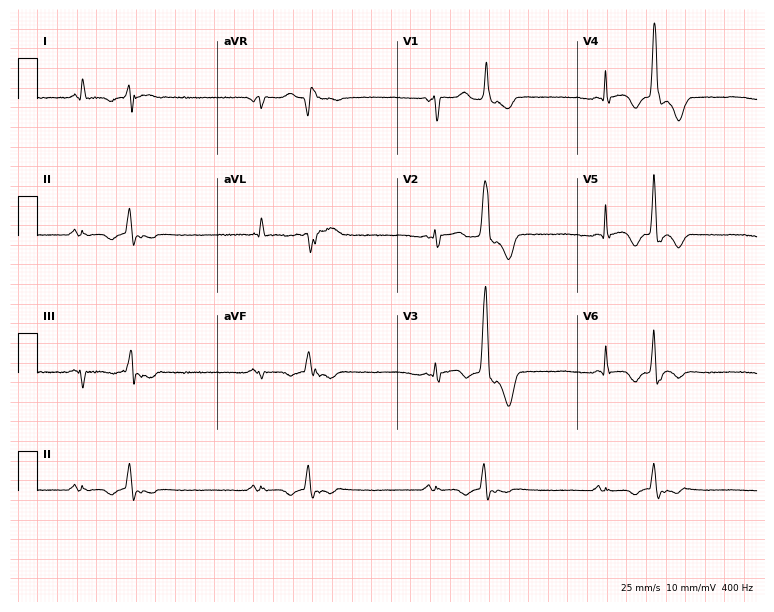
12-lead ECG from a 63-year-old female patient (7.3-second recording at 400 Hz). No first-degree AV block, right bundle branch block (RBBB), left bundle branch block (LBBB), sinus bradycardia, atrial fibrillation (AF) or sinus tachycardia recorded for this tracing. Other findings, if any, are not listed.